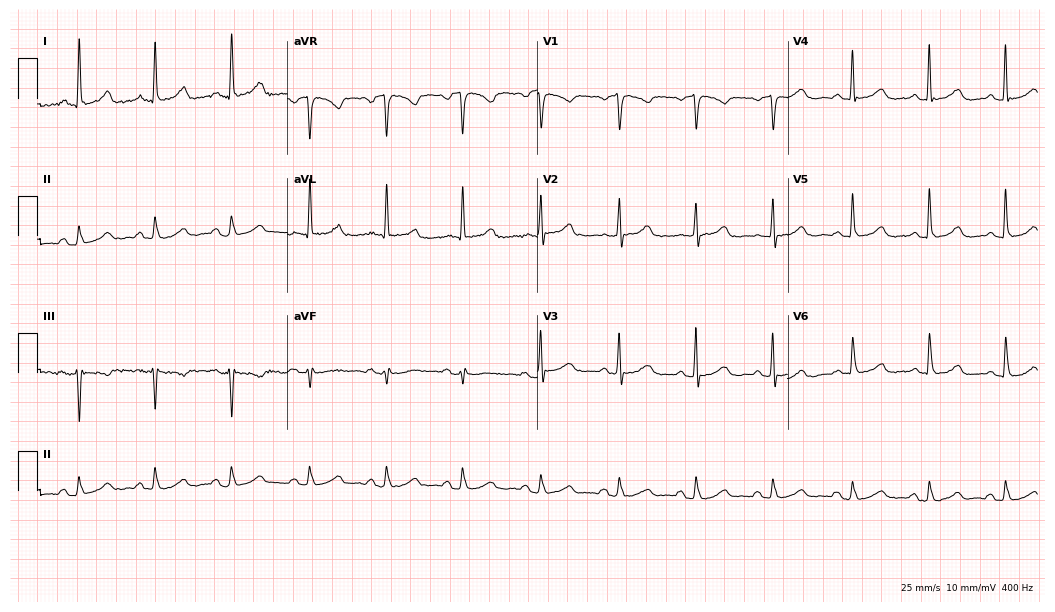
Resting 12-lead electrocardiogram. Patient: a female, 79 years old. None of these six findings is recorded: first-degree AV block, right bundle branch block, left bundle branch block, sinus bradycardia, atrial fibrillation, sinus tachycardia.